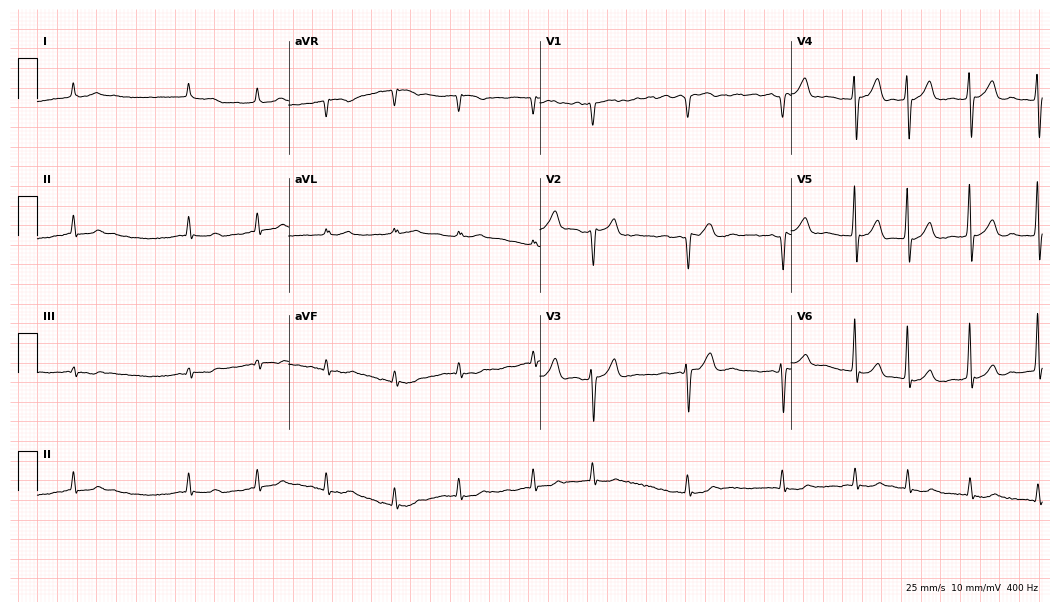
12-lead ECG from a male, 79 years old. Labelled as a normal ECG.